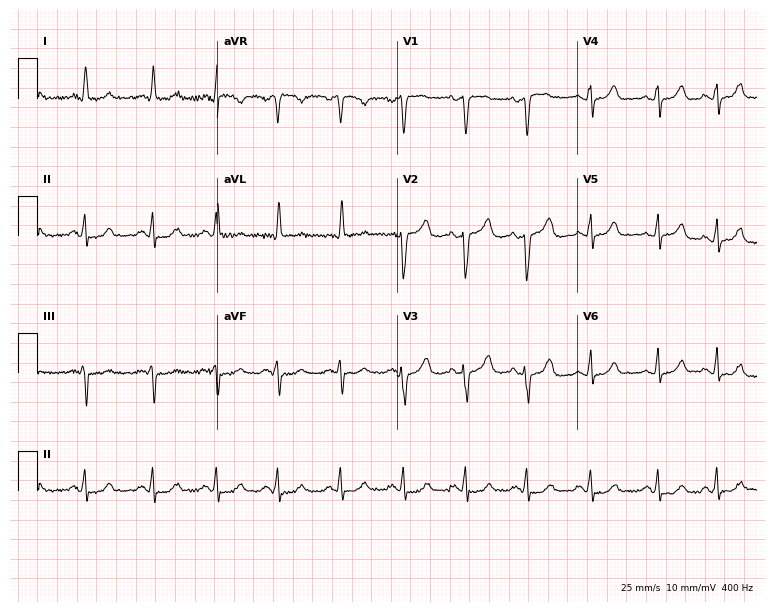
ECG — a 45-year-old female. Labelled as a normal ECG.